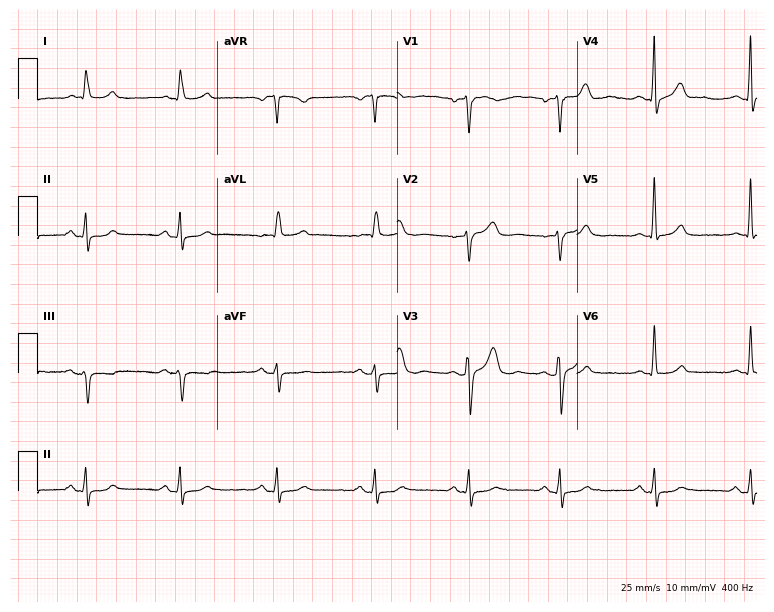
12-lead ECG from a male patient, 55 years old. Screened for six findings — first-degree AV block, right bundle branch block, left bundle branch block, sinus bradycardia, atrial fibrillation, sinus tachycardia — none is recorded.